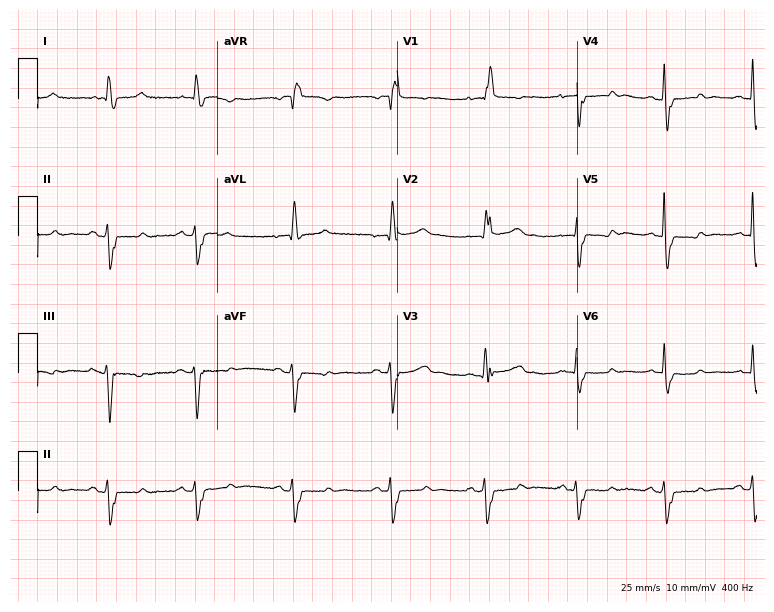
12-lead ECG from a 65-year-old woman. Findings include right bundle branch block.